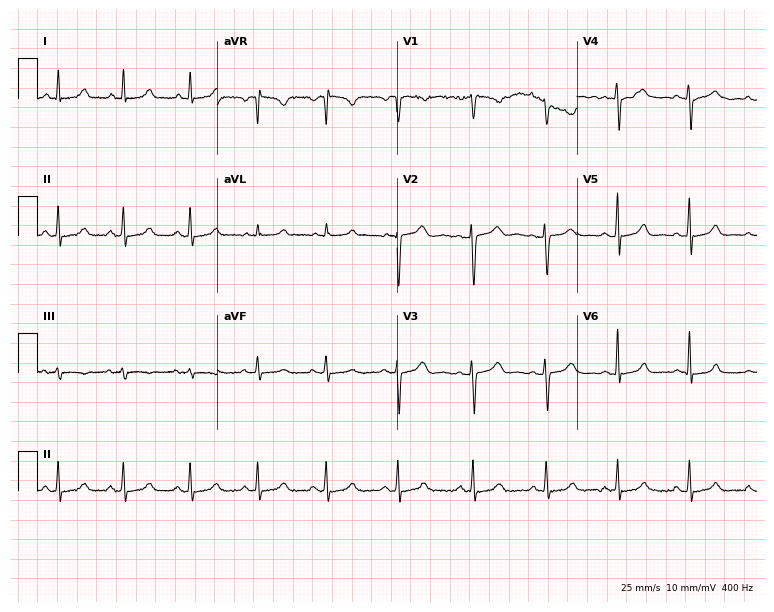
Standard 12-lead ECG recorded from a 29-year-old female (7.3-second recording at 400 Hz). None of these six findings is recorded: first-degree AV block, right bundle branch block (RBBB), left bundle branch block (LBBB), sinus bradycardia, atrial fibrillation (AF), sinus tachycardia. Findings outside these six are not listed.